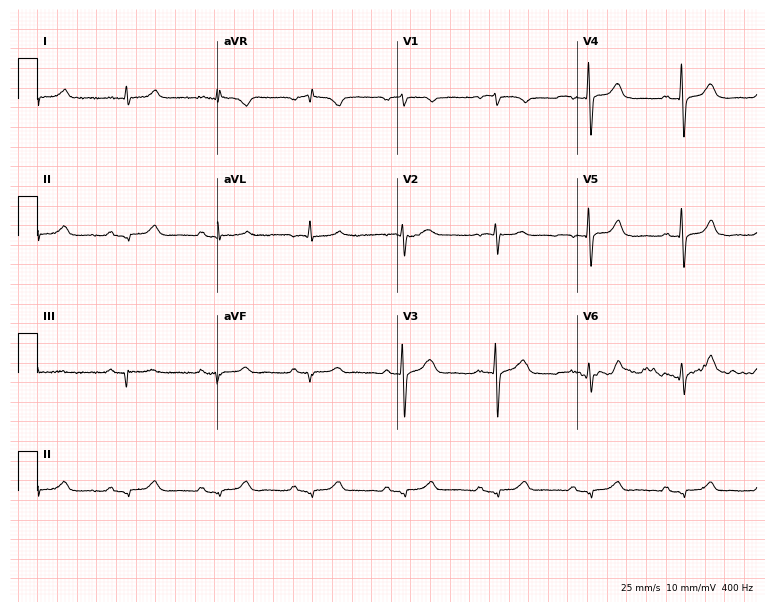
Resting 12-lead electrocardiogram (7.3-second recording at 400 Hz). Patient: a male, 82 years old. None of these six findings is recorded: first-degree AV block, right bundle branch block, left bundle branch block, sinus bradycardia, atrial fibrillation, sinus tachycardia. Other findings, if any, are not listed.